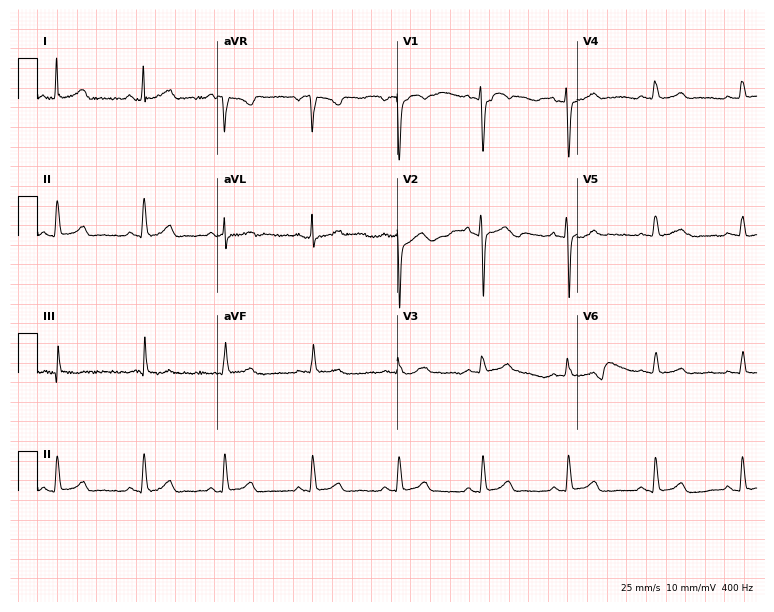
Standard 12-lead ECG recorded from a 43-year-old woman (7.3-second recording at 400 Hz). Read as a normal ECG.